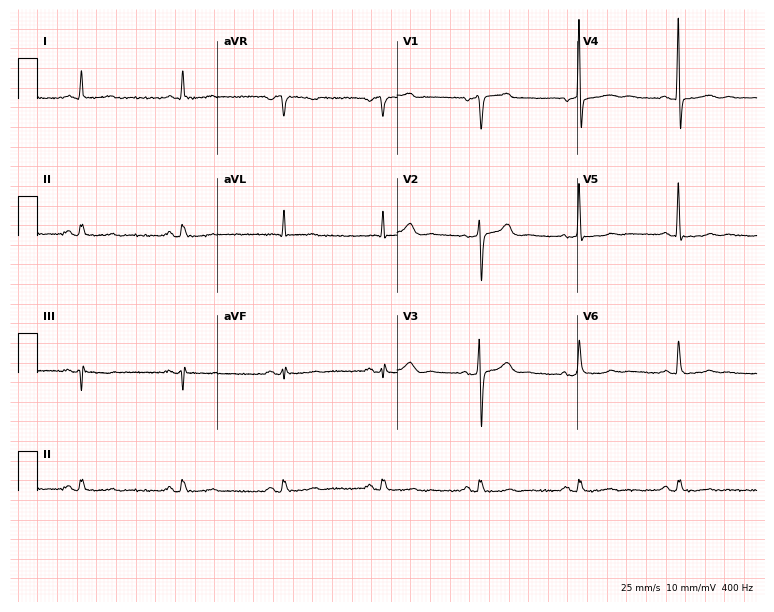
Resting 12-lead electrocardiogram. Patient: a 66-year-old male. Read as a normal ECG.